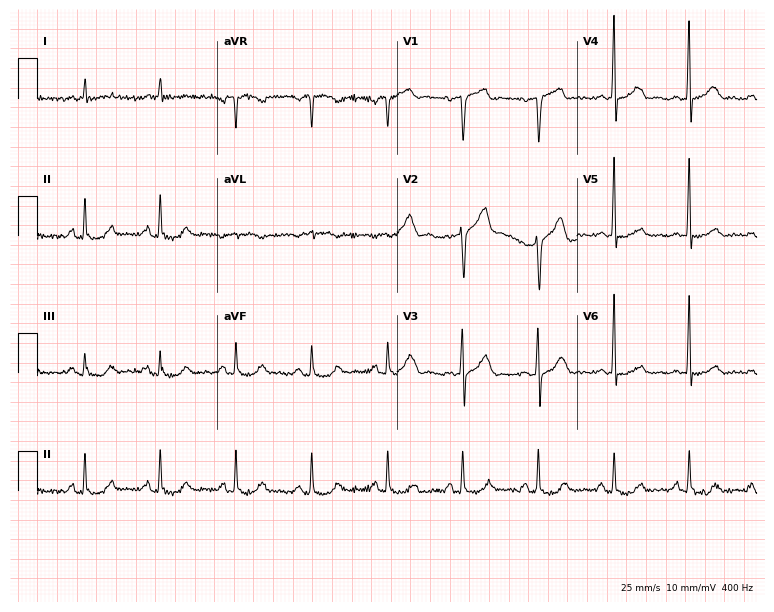
Standard 12-lead ECG recorded from a 73-year-old man. Read as a normal ECG.